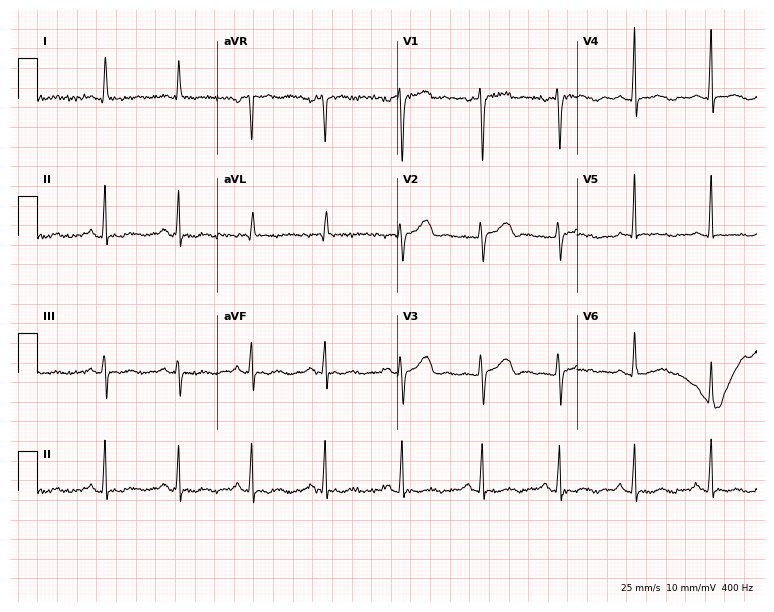
ECG (7.3-second recording at 400 Hz) — a 64-year-old woman. Labelled as a normal ECG.